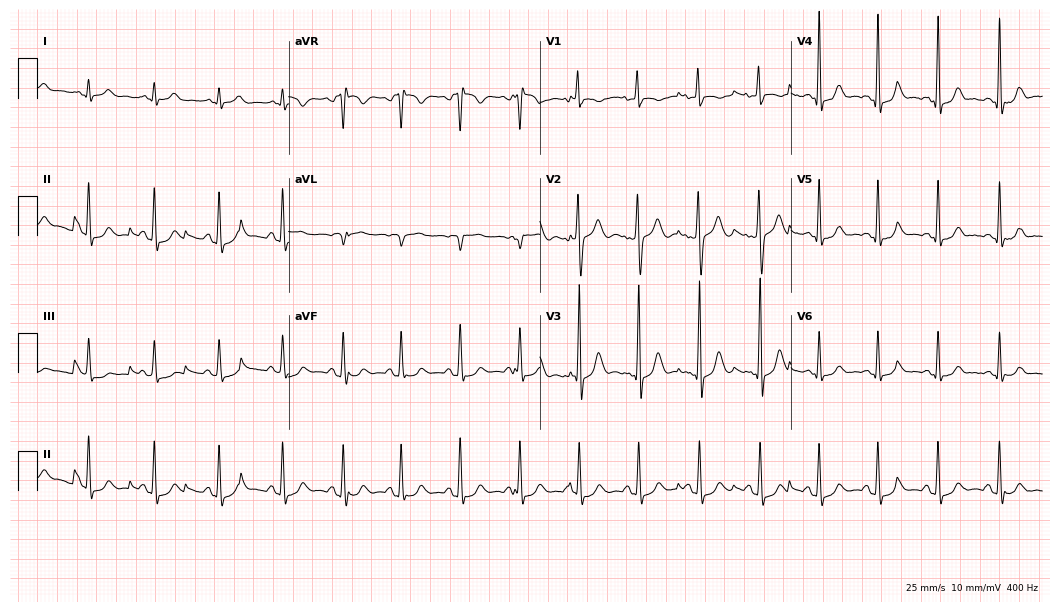
Electrocardiogram (10.2-second recording at 400 Hz), a female patient, 38 years old. Overall reading on record: normal ECG.